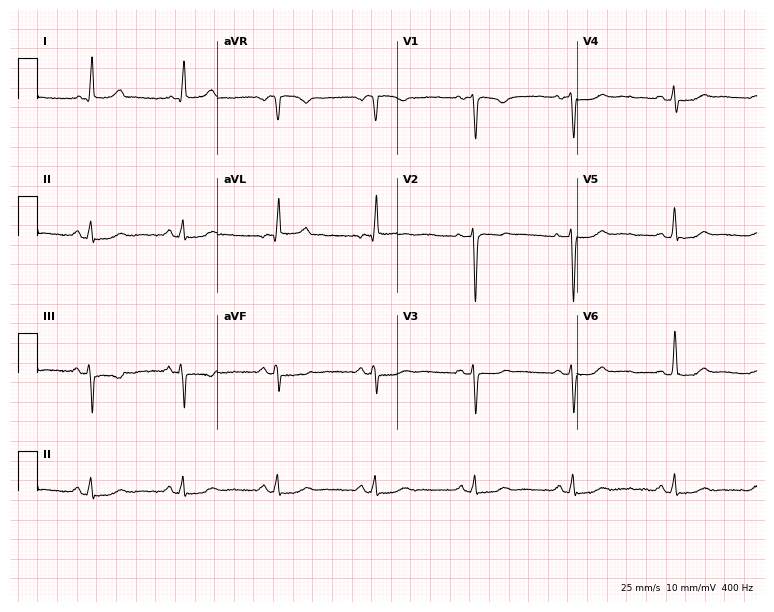
Standard 12-lead ECG recorded from a woman, 46 years old. None of these six findings is recorded: first-degree AV block, right bundle branch block (RBBB), left bundle branch block (LBBB), sinus bradycardia, atrial fibrillation (AF), sinus tachycardia.